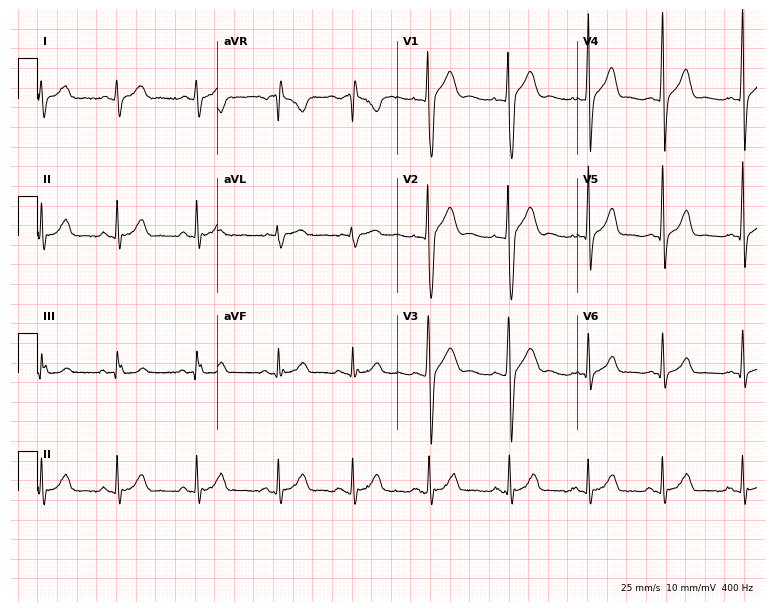
Electrocardiogram (7.3-second recording at 400 Hz), an 18-year-old man. Of the six screened findings (first-degree AV block, right bundle branch block, left bundle branch block, sinus bradycardia, atrial fibrillation, sinus tachycardia), none is recorded.